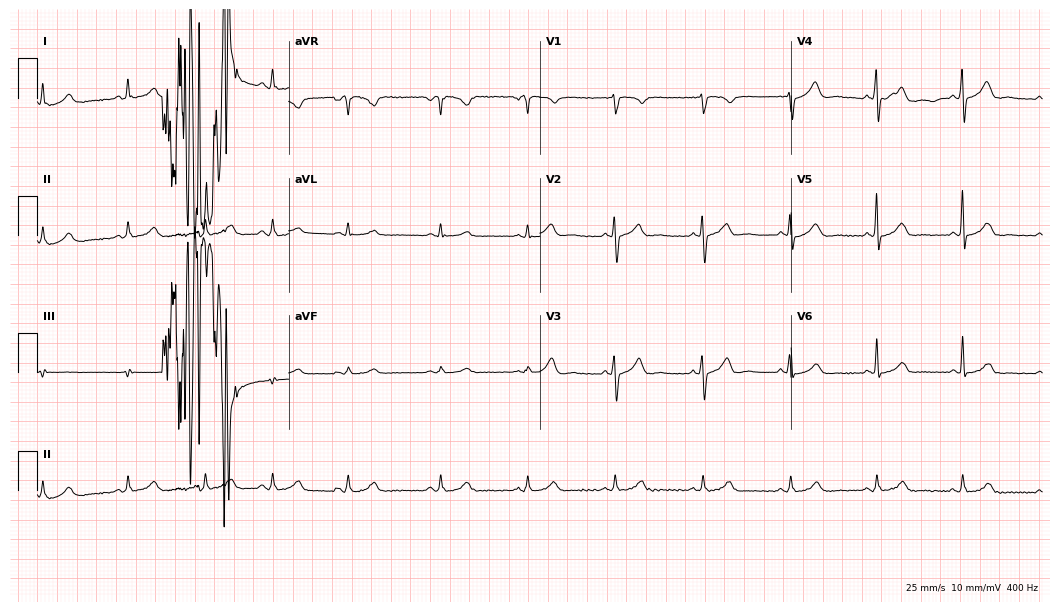
ECG (10.2-second recording at 400 Hz) — a man, 39 years old. Labelled as a normal ECG.